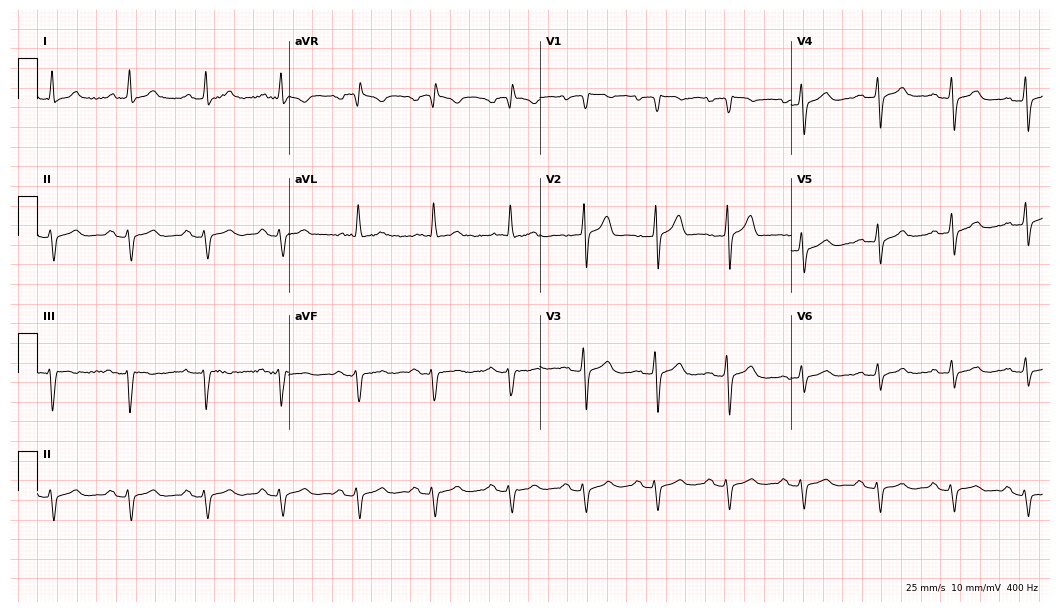
12-lead ECG from a 54-year-old male. No first-degree AV block, right bundle branch block, left bundle branch block, sinus bradycardia, atrial fibrillation or sinus tachycardia recorded for this tracing. Findings outside these six are not listed.